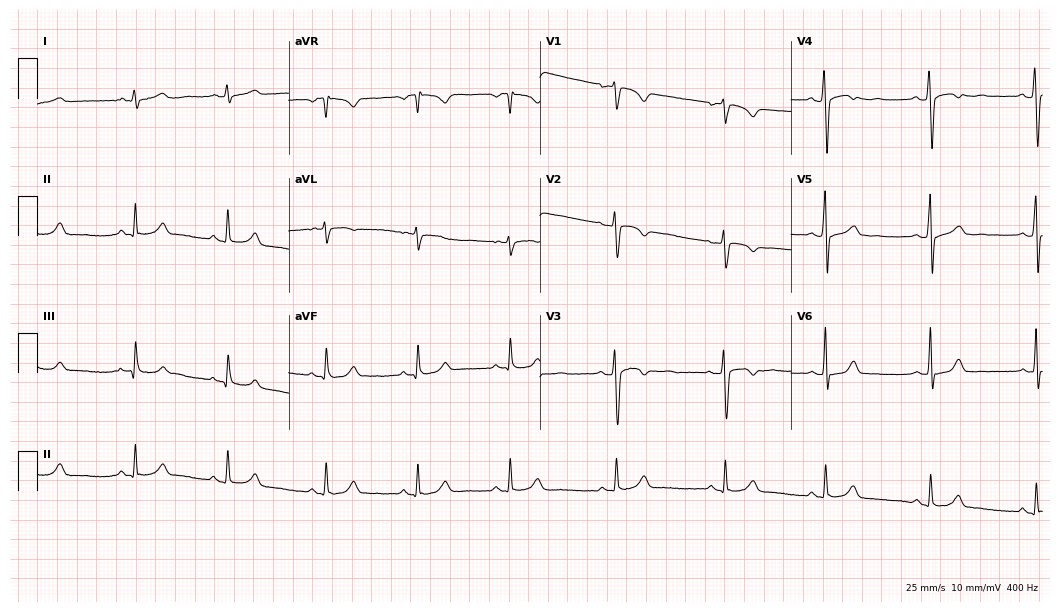
Resting 12-lead electrocardiogram (10.2-second recording at 400 Hz). Patient: a 23-year-old female. None of these six findings is recorded: first-degree AV block, right bundle branch block, left bundle branch block, sinus bradycardia, atrial fibrillation, sinus tachycardia.